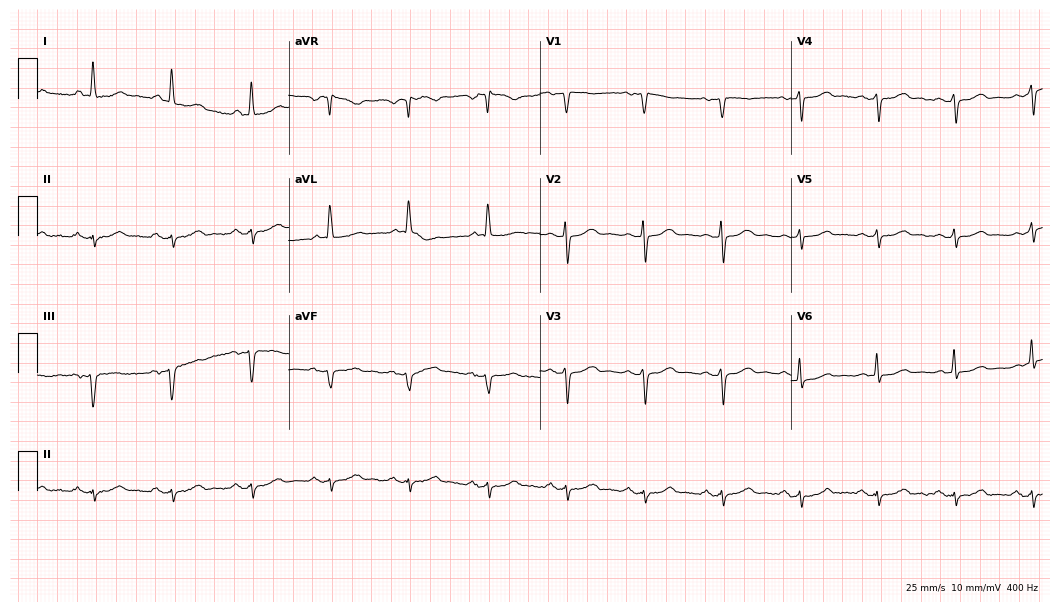
12-lead ECG (10.2-second recording at 400 Hz) from a female patient, 62 years old. Screened for six findings — first-degree AV block, right bundle branch block, left bundle branch block, sinus bradycardia, atrial fibrillation, sinus tachycardia — none is recorded.